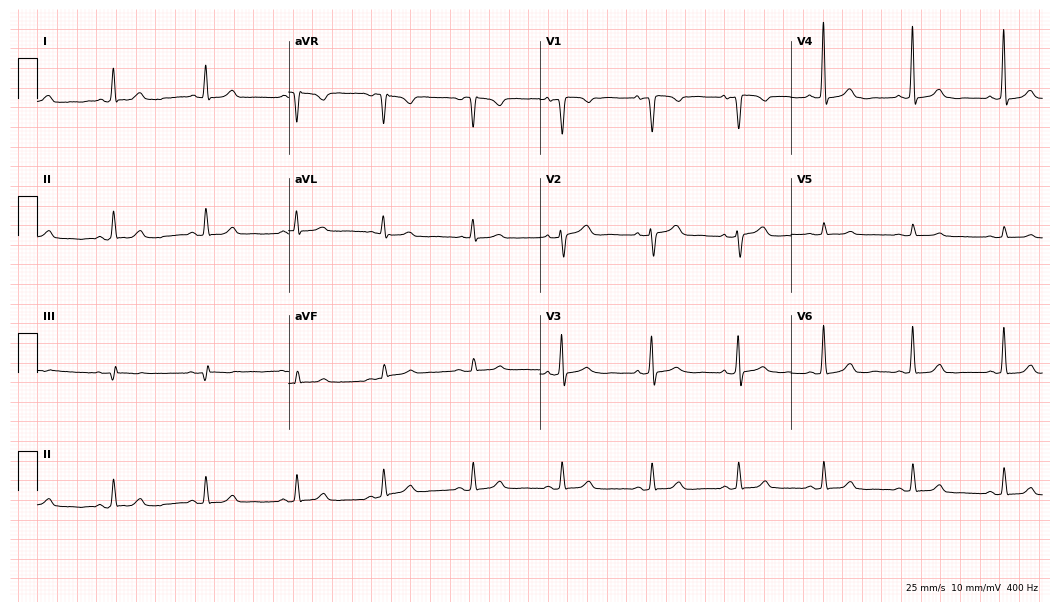
ECG (10.2-second recording at 400 Hz) — a 79-year-old woman. Labelled as a normal ECG.